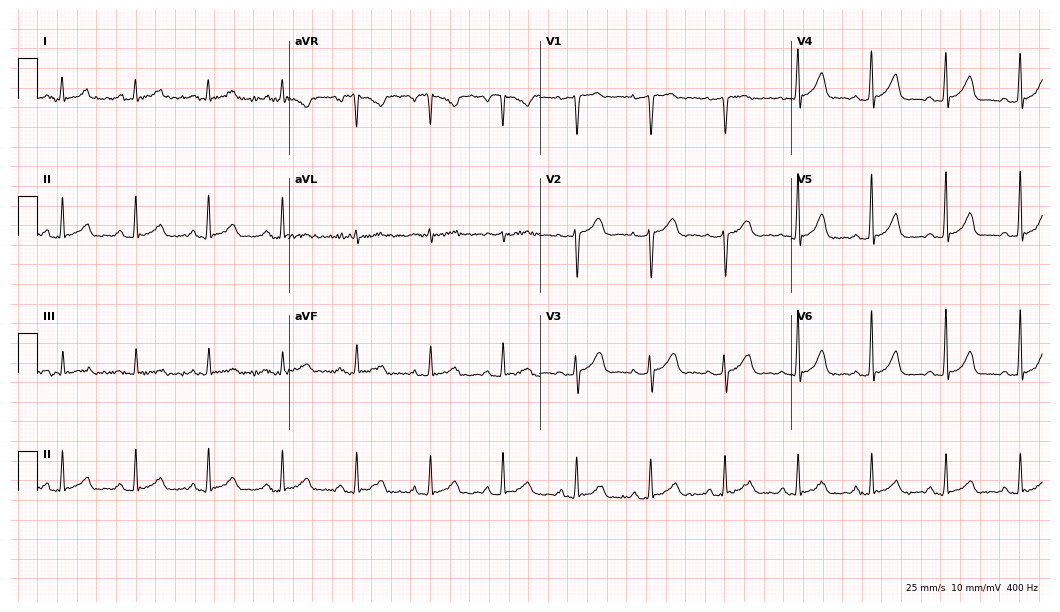
Electrocardiogram (10.2-second recording at 400 Hz), a 45-year-old woman. Overall reading on record: normal ECG.